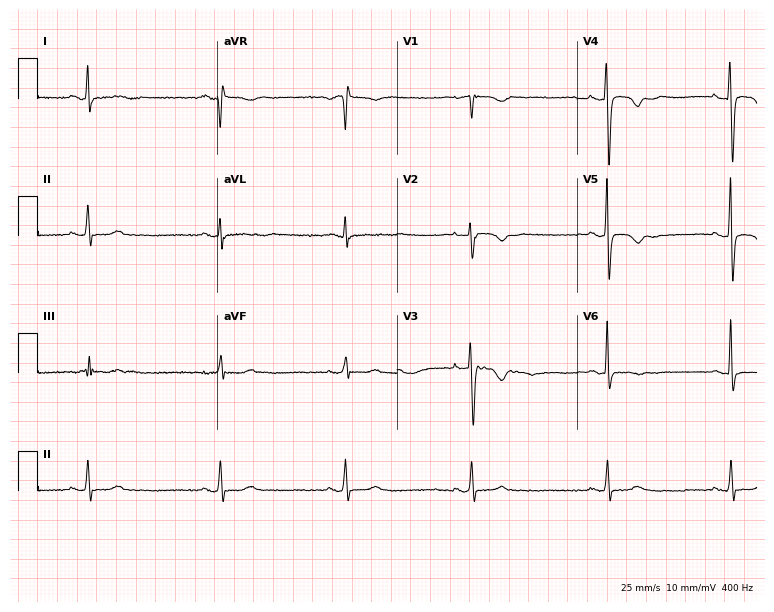
Resting 12-lead electrocardiogram. Patient: a female, 62 years old. None of these six findings is recorded: first-degree AV block, right bundle branch block (RBBB), left bundle branch block (LBBB), sinus bradycardia, atrial fibrillation (AF), sinus tachycardia.